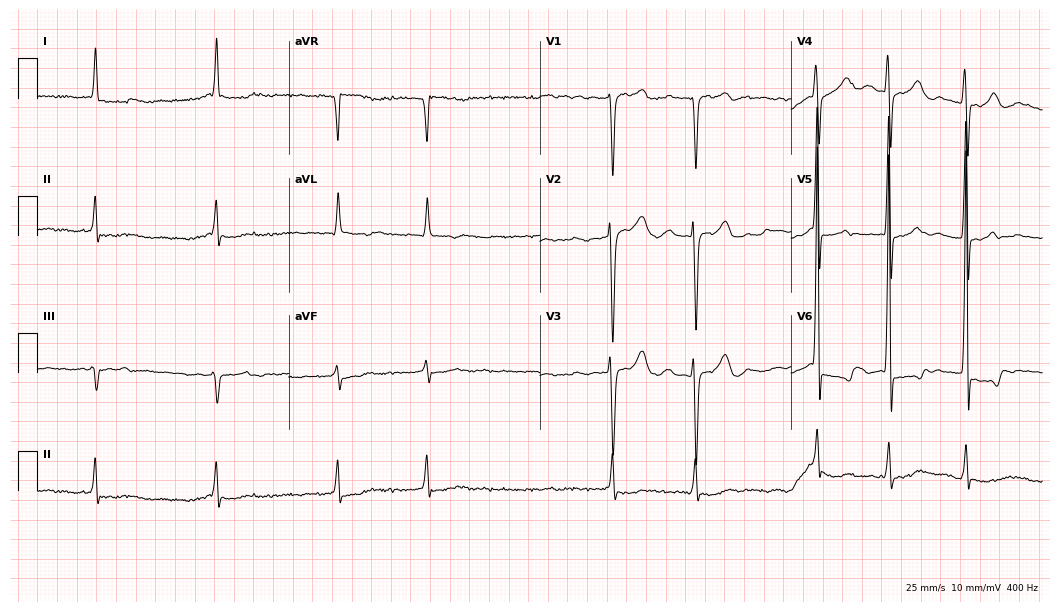
12-lead ECG from an 81-year-old male patient. Findings include atrial fibrillation (AF).